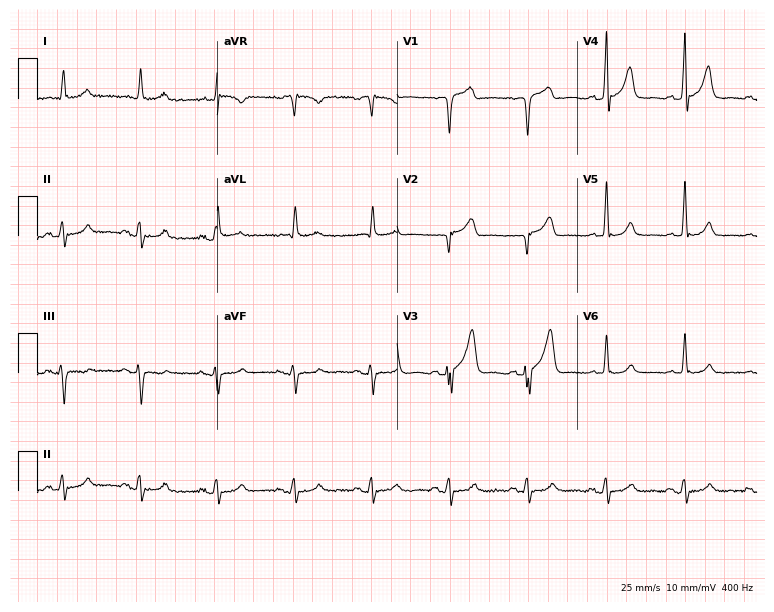
12-lead ECG from a male, 77 years old. Recorded interpretation: within normal limits.